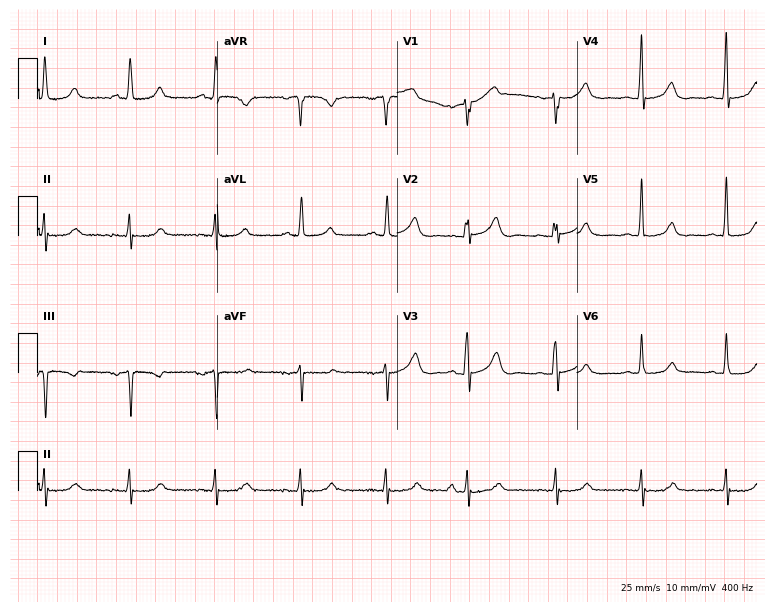
12-lead ECG (7.3-second recording at 400 Hz) from a female patient, 84 years old. Screened for six findings — first-degree AV block, right bundle branch block (RBBB), left bundle branch block (LBBB), sinus bradycardia, atrial fibrillation (AF), sinus tachycardia — none is recorded.